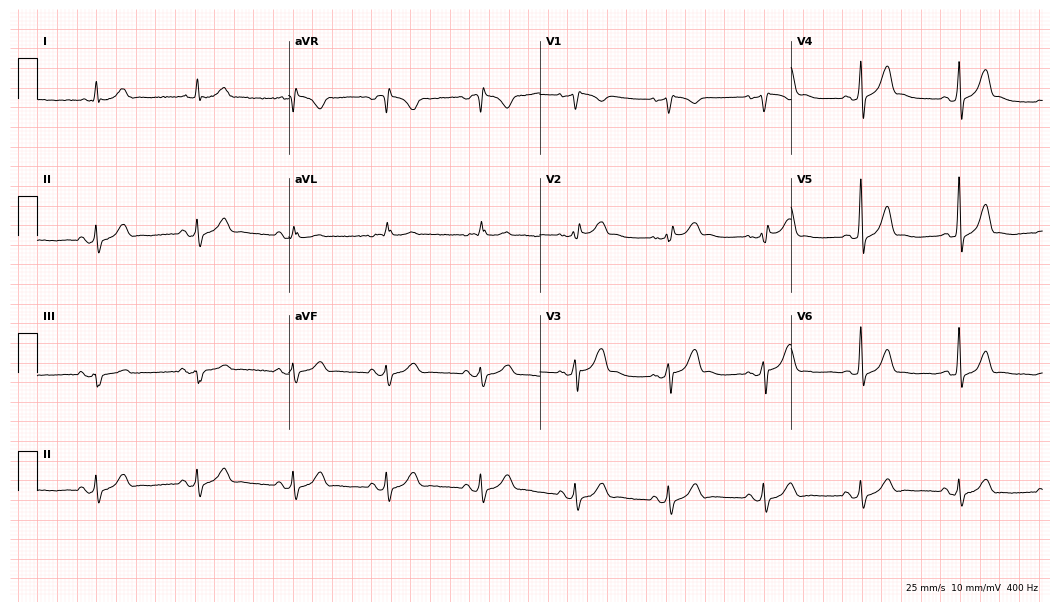
Resting 12-lead electrocardiogram (10.2-second recording at 400 Hz). Patient: a 68-year-old man. None of these six findings is recorded: first-degree AV block, right bundle branch block, left bundle branch block, sinus bradycardia, atrial fibrillation, sinus tachycardia.